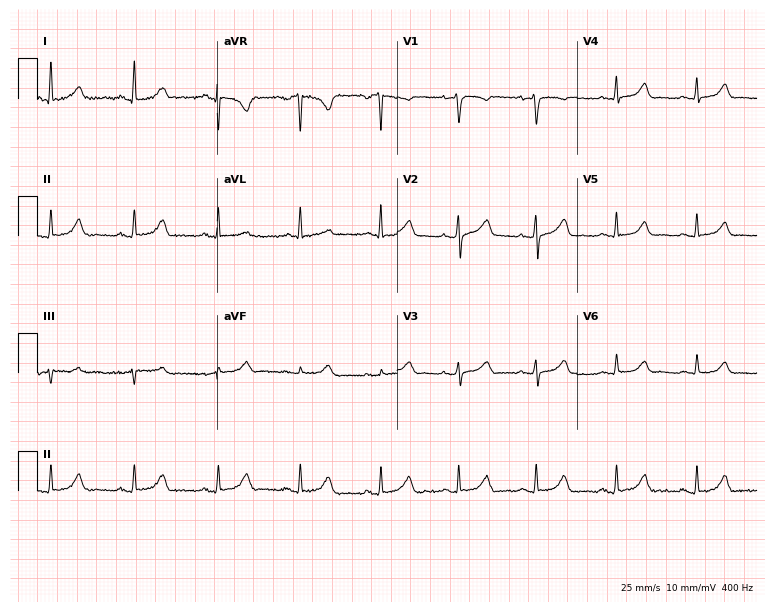
Electrocardiogram, a female, 43 years old. Overall reading on record: normal ECG.